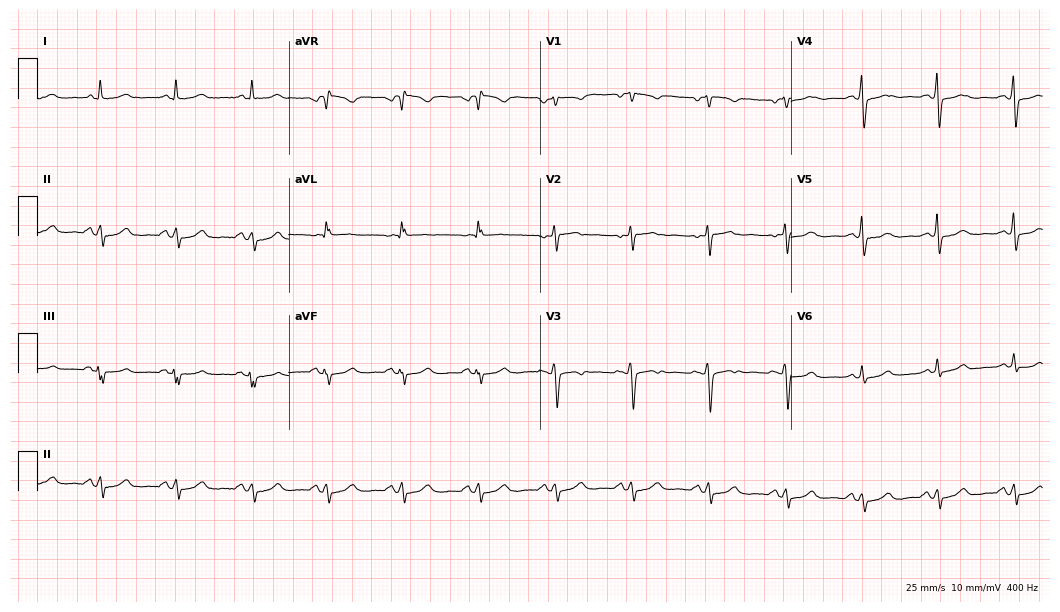
12-lead ECG (10.2-second recording at 400 Hz) from a 58-year-old woman. Screened for six findings — first-degree AV block, right bundle branch block, left bundle branch block, sinus bradycardia, atrial fibrillation, sinus tachycardia — none is recorded. Findings outside these six are not listed.